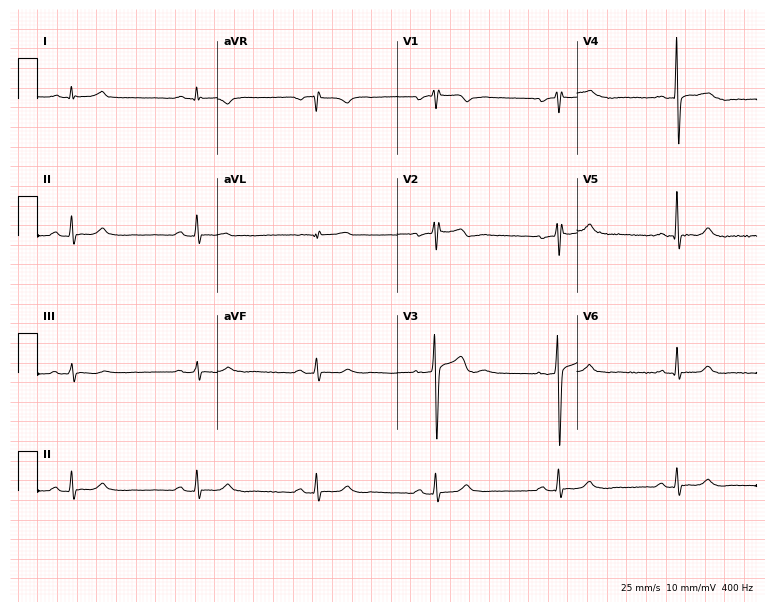
Standard 12-lead ECG recorded from a male, 52 years old. None of these six findings is recorded: first-degree AV block, right bundle branch block (RBBB), left bundle branch block (LBBB), sinus bradycardia, atrial fibrillation (AF), sinus tachycardia.